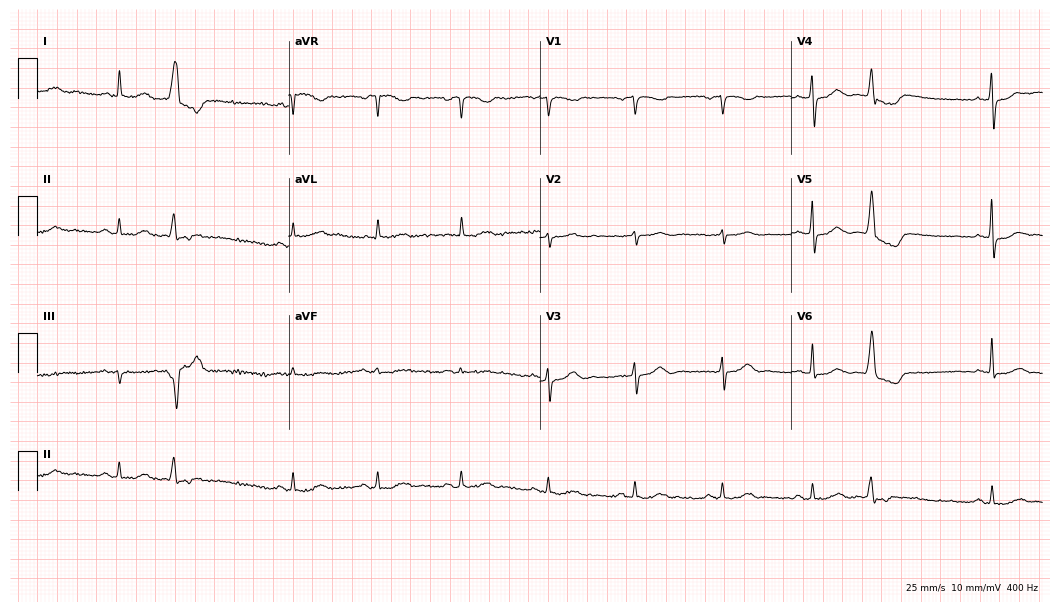
Resting 12-lead electrocardiogram (10.2-second recording at 400 Hz). Patient: a 78-year-old male. None of these six findings is recorded: first-degree AV block, right bundle branch block, left bundle branch block, sinus bradycardia, atrial fibrillation, sinus tachycardia.